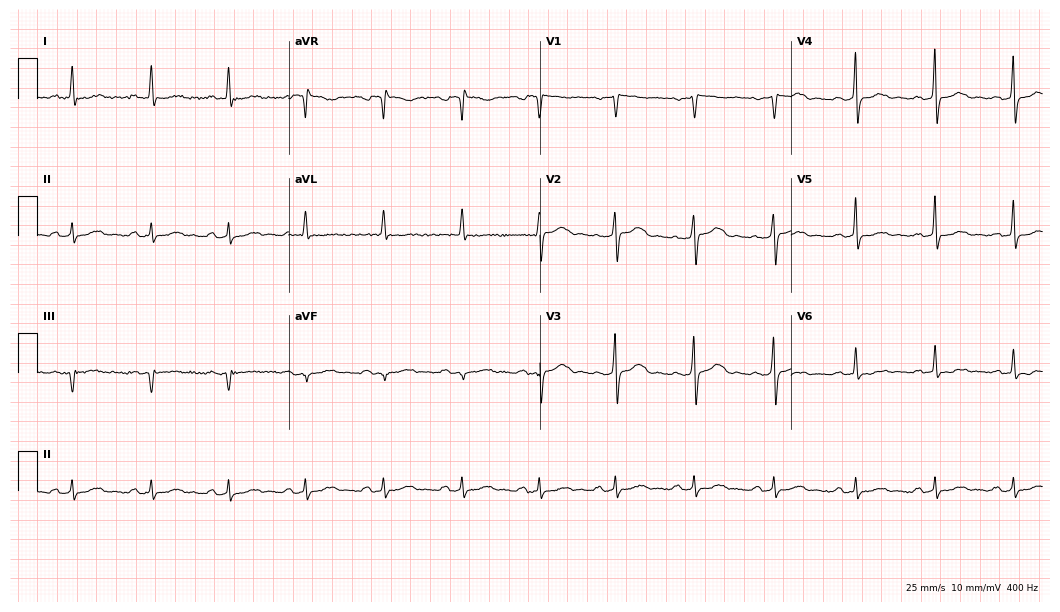
Standard 12-lead ECG recorded from a 47-year-old female patient. None of these six findings is recorded: first-degree AV block, right bundle branch block, left bundle branch block, sinus bradycardia, atrial fibrillation, sinus tachycardia. Other findings, if any, are not listed.